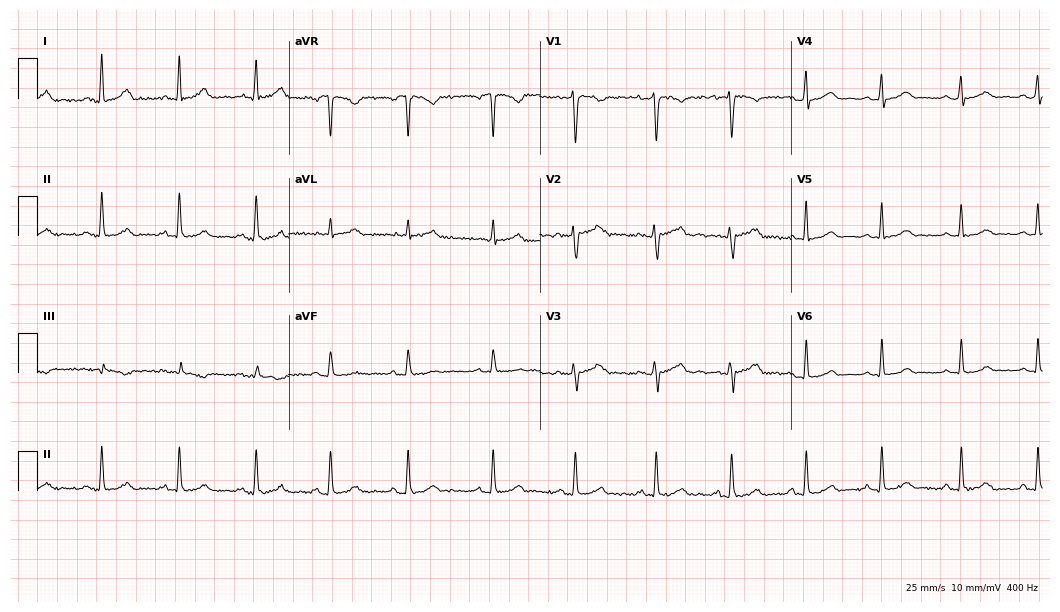
ECG — a 30-year-old female. Labelled as a normal ECG.